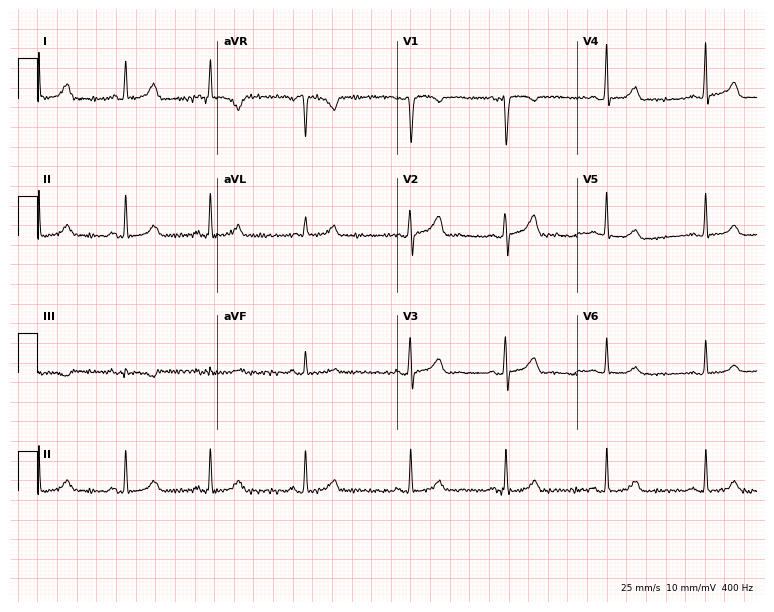
Standard 12-lead ECG recorded from a female patient, 31 years old. Read as a normal ECG.